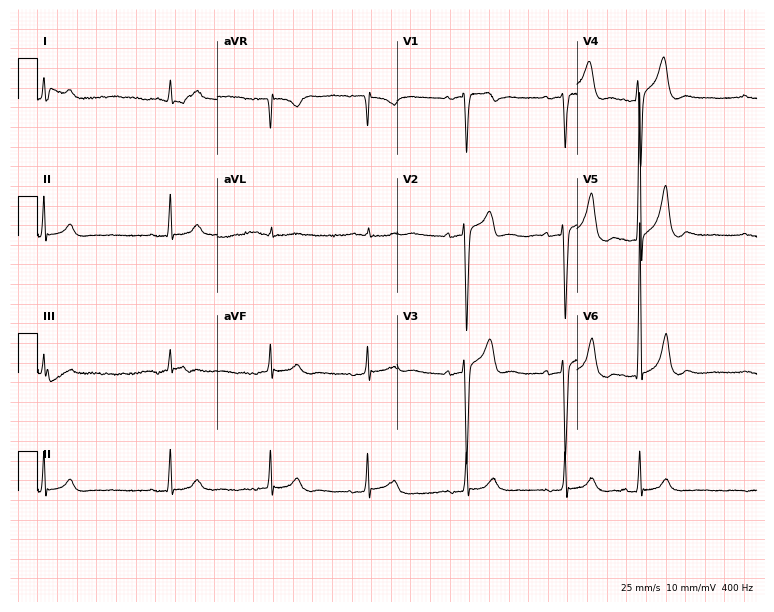
Resting 12-lead electrocardiogram. Patient: a 72-year-old man. None of these six findings is recorded: first-degree AV block, right bundle branch block (RBBB), left bundle branch block (LBBB), sinus bradycardia, atrial fibrillation (AF), sinus tachycardia. Other findings, if any, are not listed.